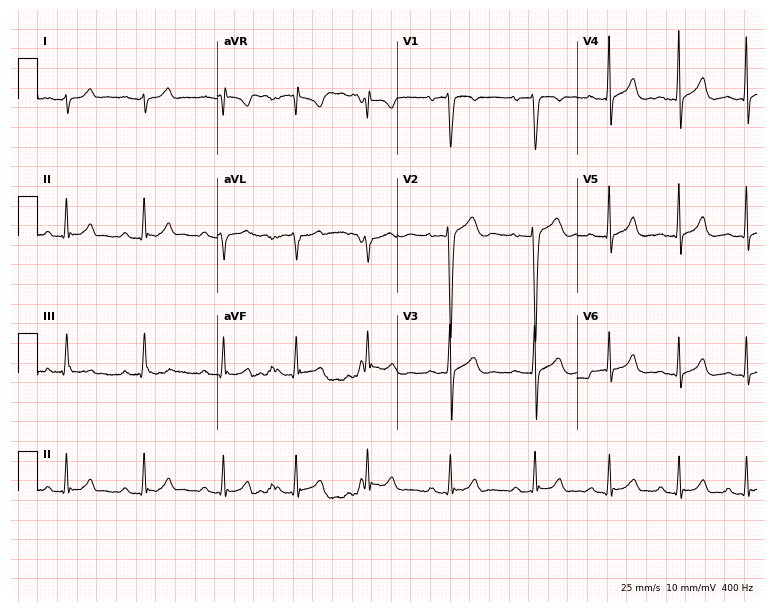
Standard 12-lead ECG recorded from a male patient, 24 years old. Read as a normal ECG.